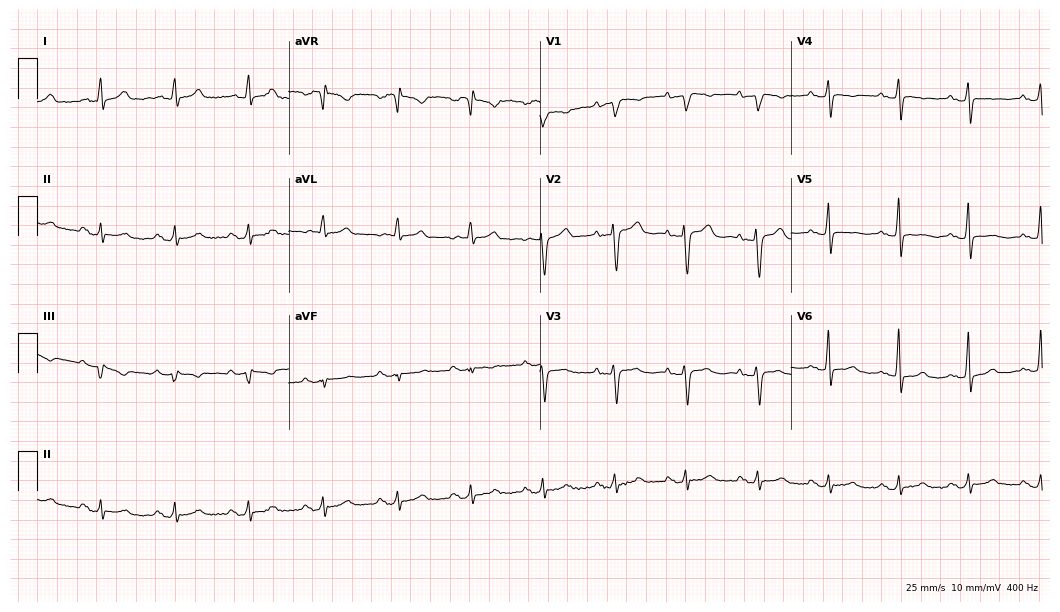
12-lead ECG from a female, 58 years old. Screened for six findings — first-degree AV block, right bundle branch block, left bundle branch block, sinus bradycardia, atrial fibrillation, sinus tachycardia — none is recorded.